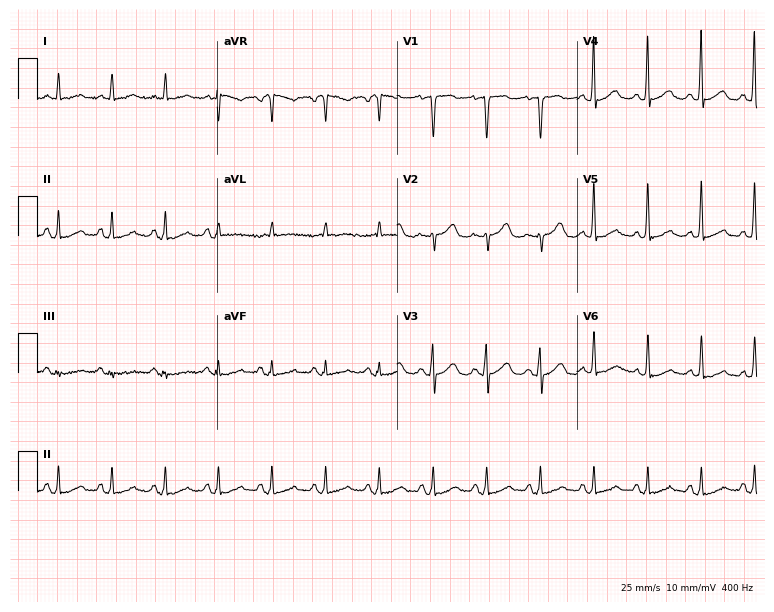
12-lead ECG from a female, 73 years old. Findings include sinus tachycardia (a sinus rate of 100 beats per minute or more).